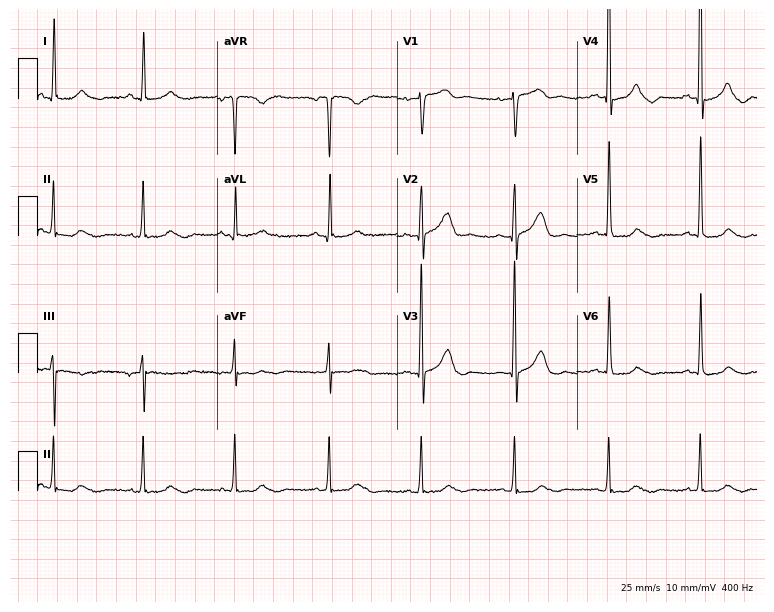
ECG — an 81-year-old female patient. Labelled as a normal ECG.